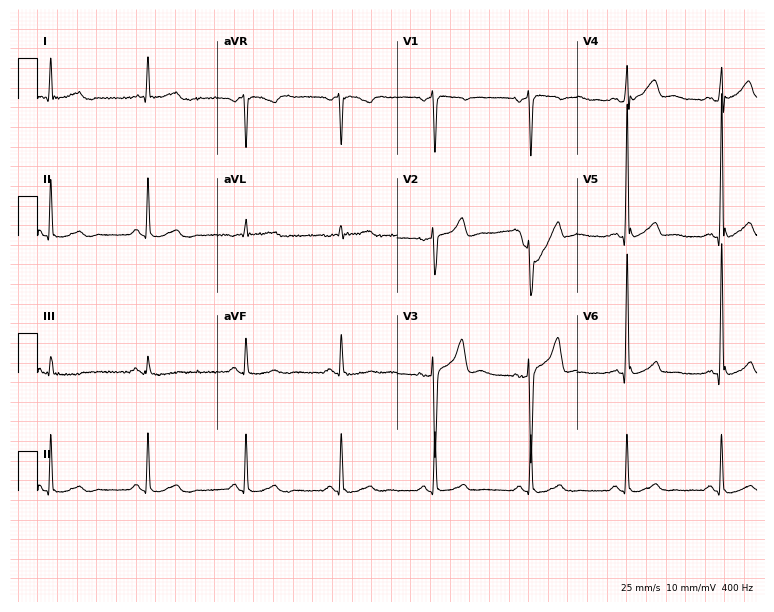
12-lead ECG (7.3-second recording at 400 Hz) from a 51-year-old male patient. Labelled as a normal ECG.